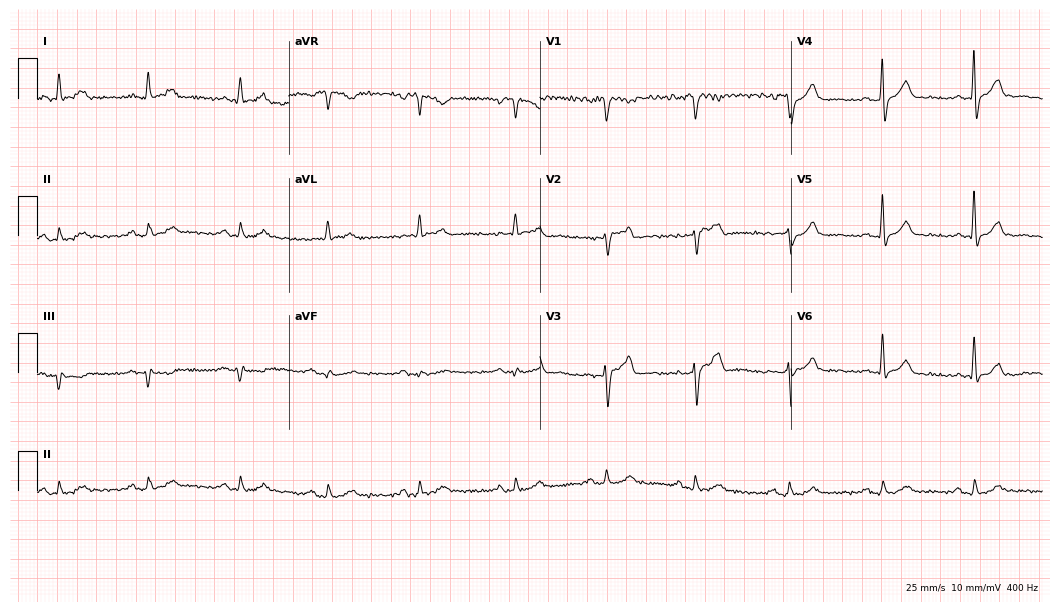
12-lead ECG from a 53-year-old female. Recorded interpretation: within normal limits.